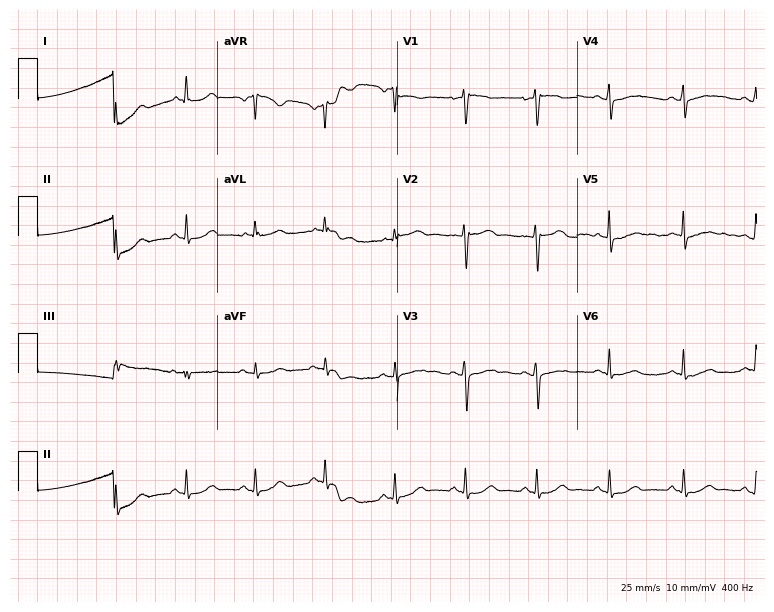
Standard 12-lead ECG recorded from a 52-year-old woman. None of these six findings is recorded: first-degree AV block, right bundle branch block (RBBB), left bundle branch block (LBBB), sinus bradycardia, atrial fibrillation (AF), sinus tachycardia. Only these six findings were labelled.